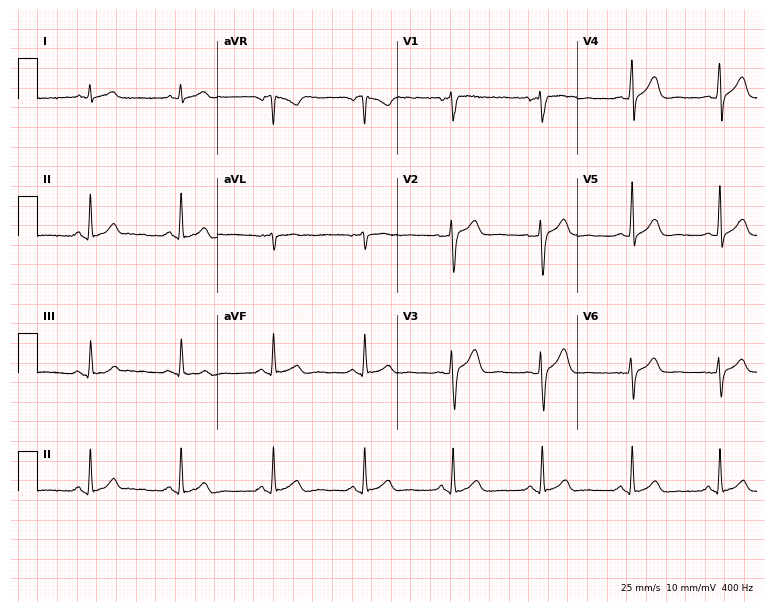
12-lead ECG from a 34-year-old man (7.3-second recording at 400 Hz). Recorded interpretation: within normal limits.